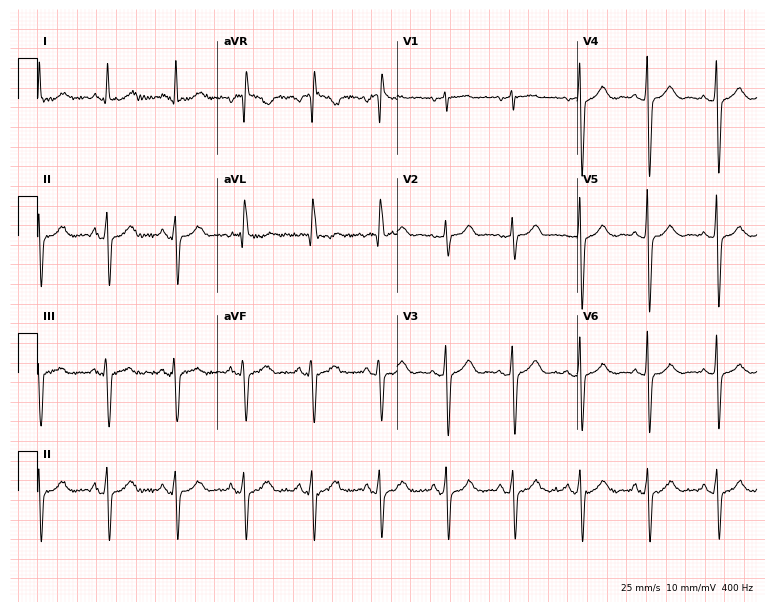
12-lead ECG from a 73-year-old female. No first-degree AV block, right bundle branch block, left bundle branch block, sinus bradycardia, atrial fibrillation or sinus tachycardia recorded for this tracing.